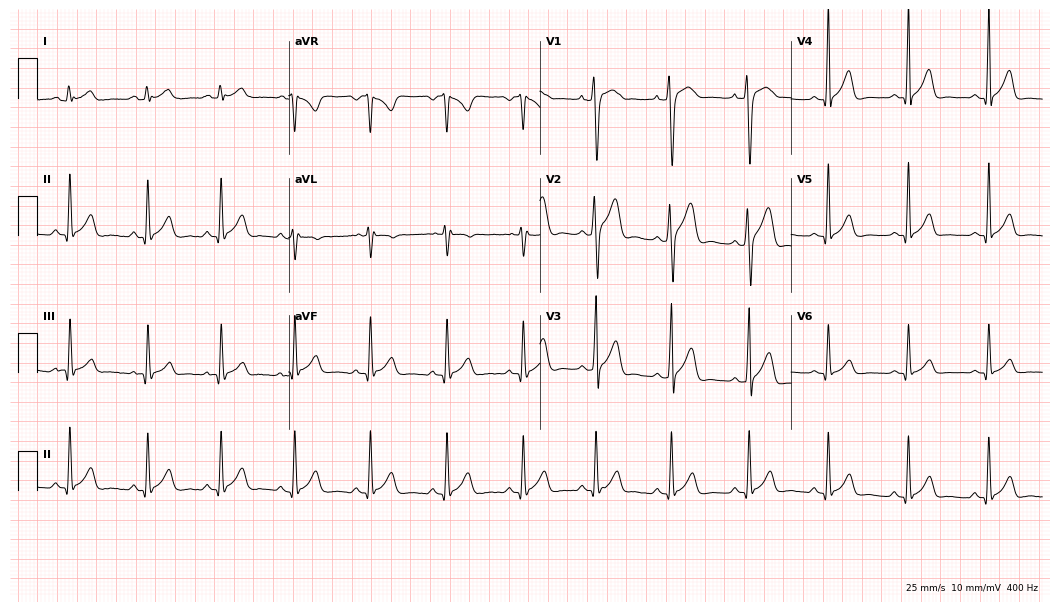
12-lead ECG from a male, 23 years old. Recorded interpretation: within normal limits.